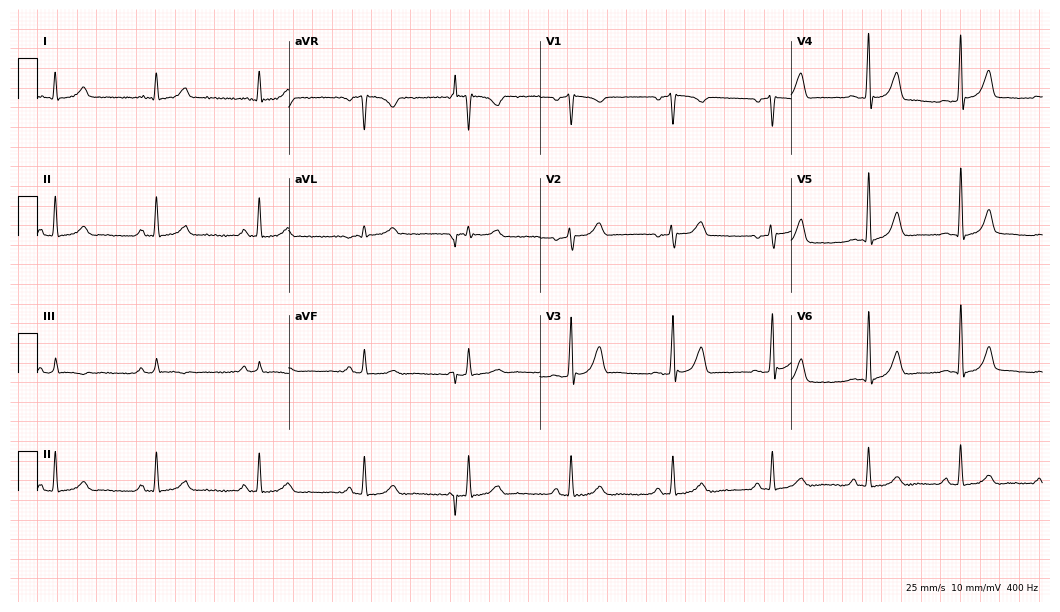
12-lead ECG from a male, 49 years old. Screened for six findings — first-degree AV block, right bundle branch block, left bundle branch block, sinus bradycardia, atrial fibrillation, sinus tachycardia — none is recorded.